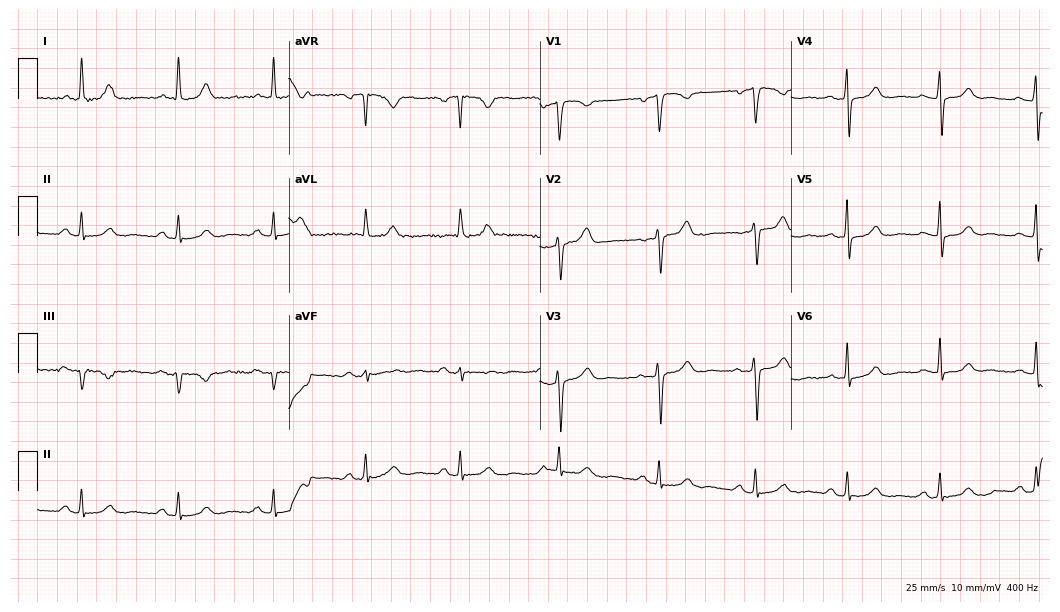
12-lead ECG from a 60-year-old female patient. Labelled as a normal ECG.